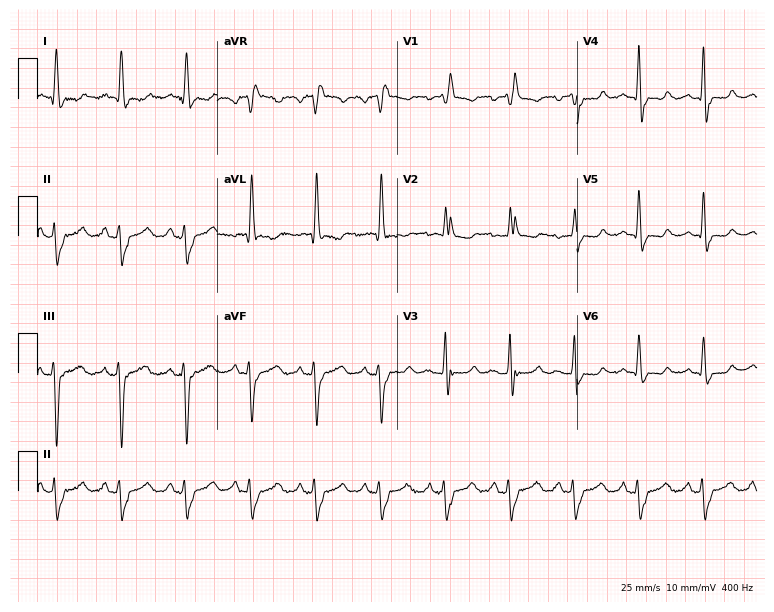
12-lead ECG (7.3-second recording at 400 Hz) from a woman, 62 years old. Findings include right bundle branch block.